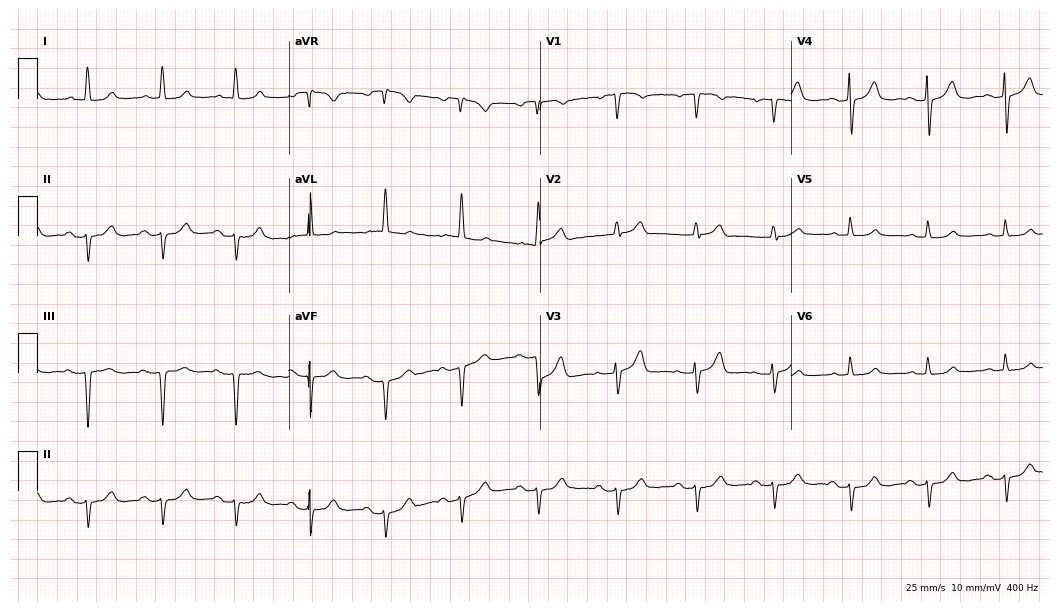
Electrocardiogram (10.2-second recording at 400 Hz), a female patient, 83 years old. Of the six screened findings (first-degree AV block, right bundle branch block (RBBB), left bundle branch block (LBBB), sinus bradycardia, atrial fibrillation (AF), sinus tachycardia), none is recorded. Only these six findings were labelled.